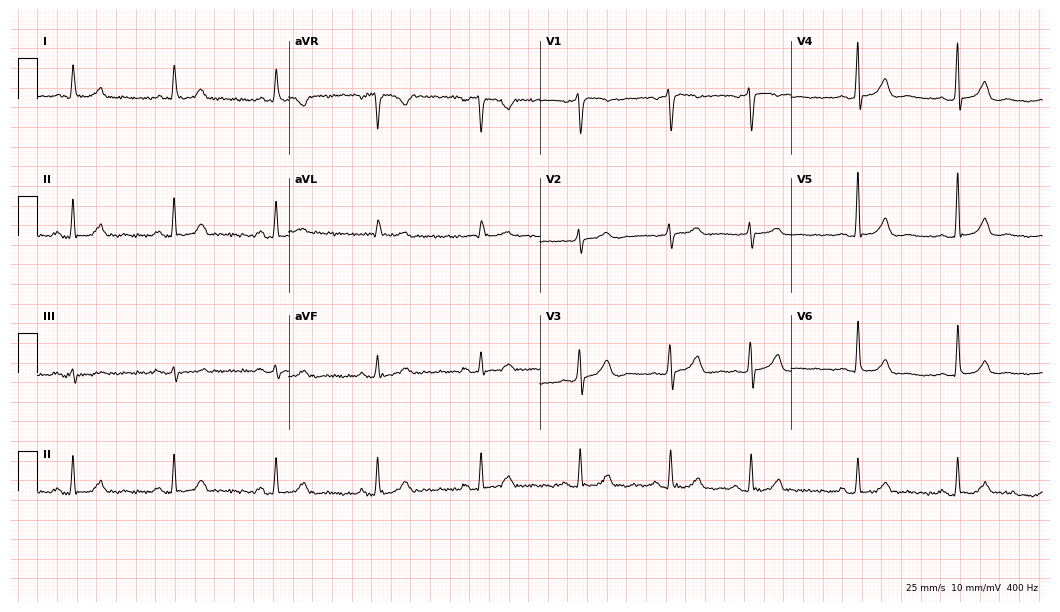
12-lead ECG from a male patient, 72 years old. Screened for six findings — first-degree AV block, right bundle branch block (RBBB), left bundle branch block (LBBB), sinus bradycardia, atrial fibrillation (AF), sinus tachycardia — none is recorded. Only these six findings were labelled.